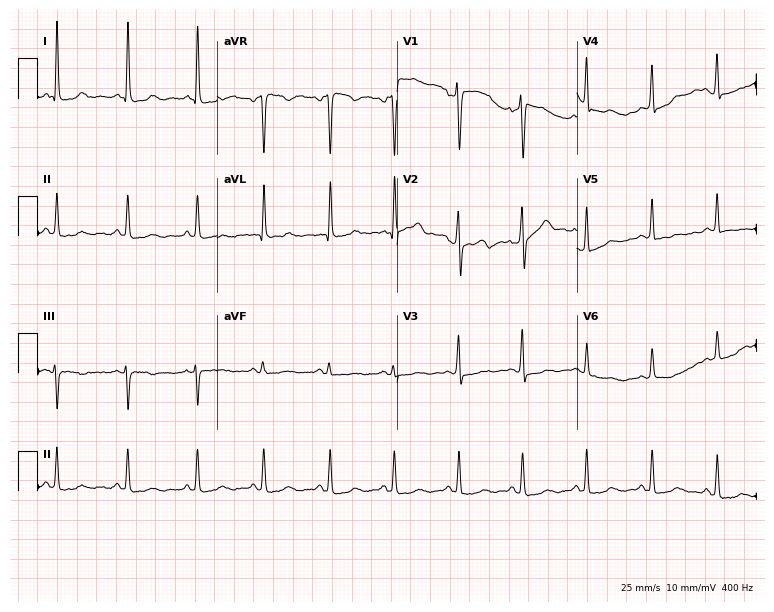
Resting 12-lead electrocardiogram (7.3-second recording at 400 Hz). Patient: a 57-year-old female. None of these six findings is recorded: first-degree AV block, right bundle branch block, left bundle branch block, sinus bradycardia, atrial fibrillation, sinus tachycardia. Findings outside these six are not listed.